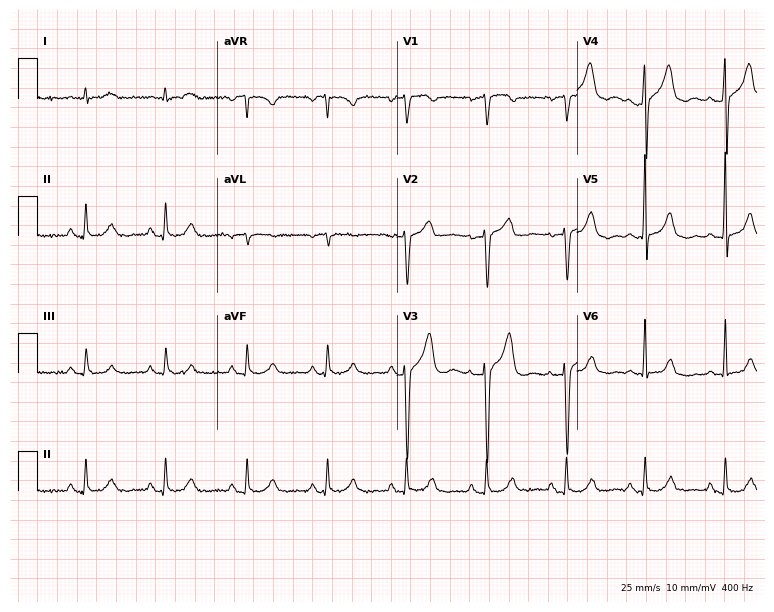
12-lead ECG from a man, 80 years old (7.3-second recording at 400 Hz). Recorded interpretation: within normal limits.